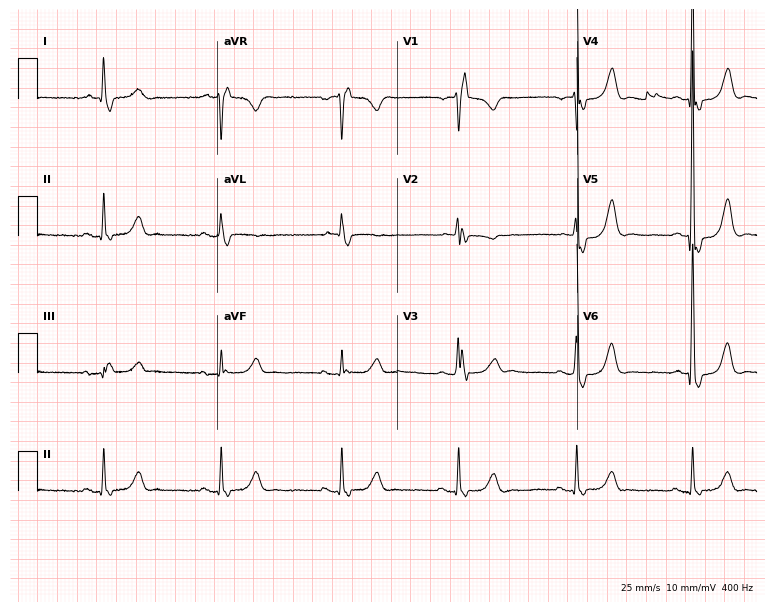
ECG — a woman, 67 years old. Findings include right bundle branch block (RBBB), sinus bradycardia (a sinus rate of 50 beats per minute or less).